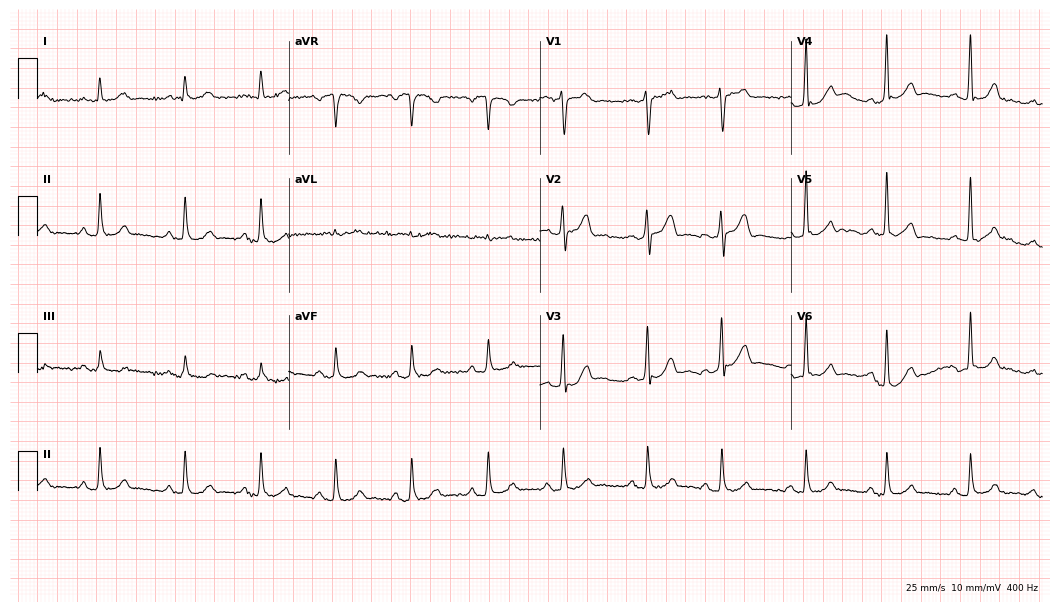
Standard 12-lead ECG recorded from a male patient, 47 years old. Read as a normal ECG.